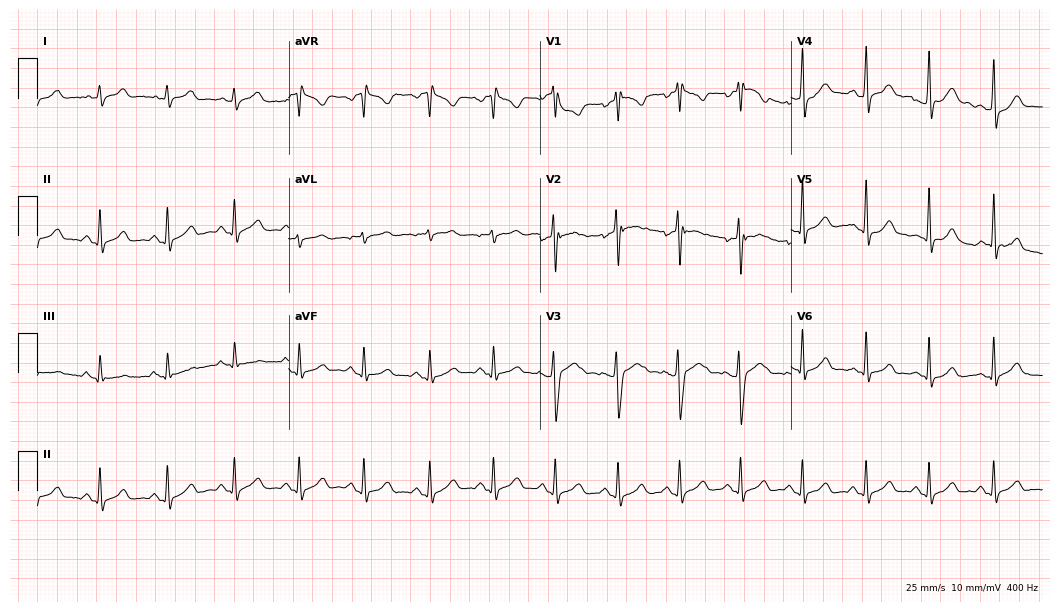
Standard 12-lead ECG recorded from a 23-year-old male. Read as a normal ECG.